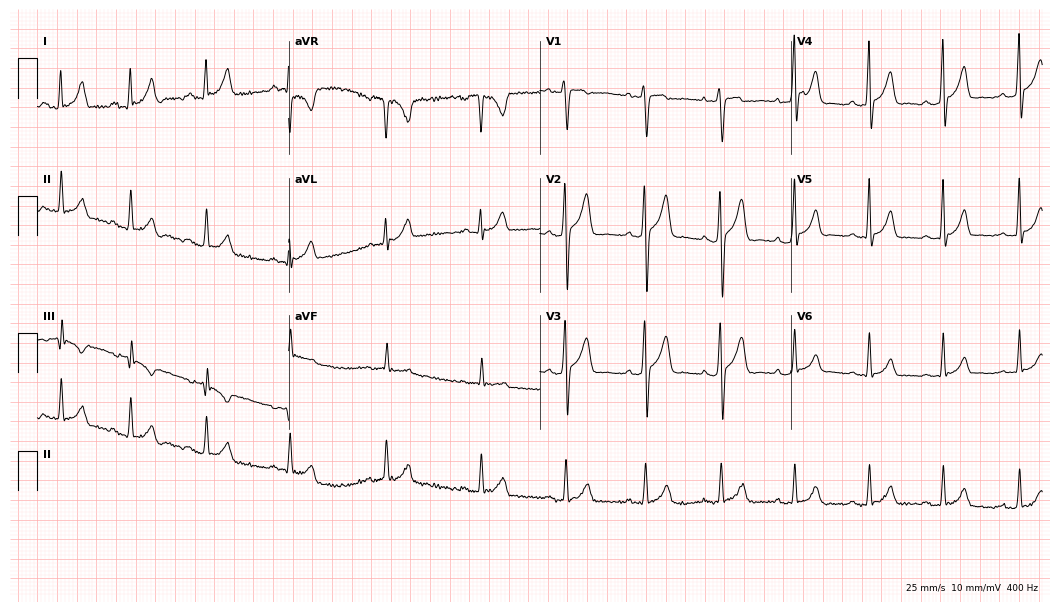
ECG — a 21-year-old male patient. Screened for six findings — first-degree AV block, right bundle branch block, left bundle branch block, sinus bradycardia, atrial fibrillation, sinus tachycardia — none is recorded.